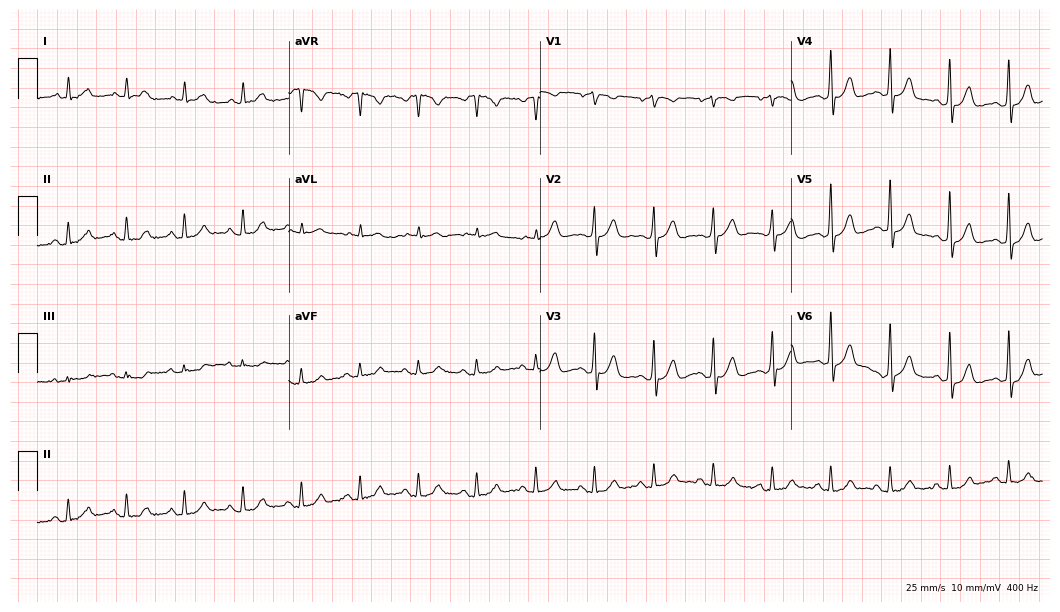
Standard 12-lead ECG recorded from a 79-year-old man. Read as a normal ECG.